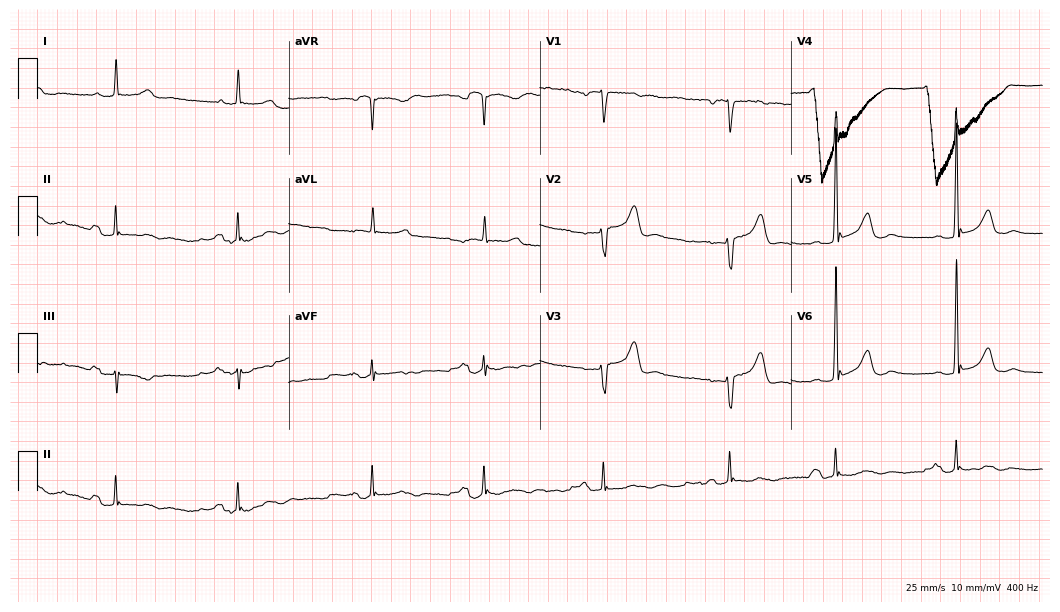
Electrocardiogram, a male, 77 years old. Interpretation includes first-degree AV block, sinus bradycardia (a sinus rate of 50 beats per minute or less).